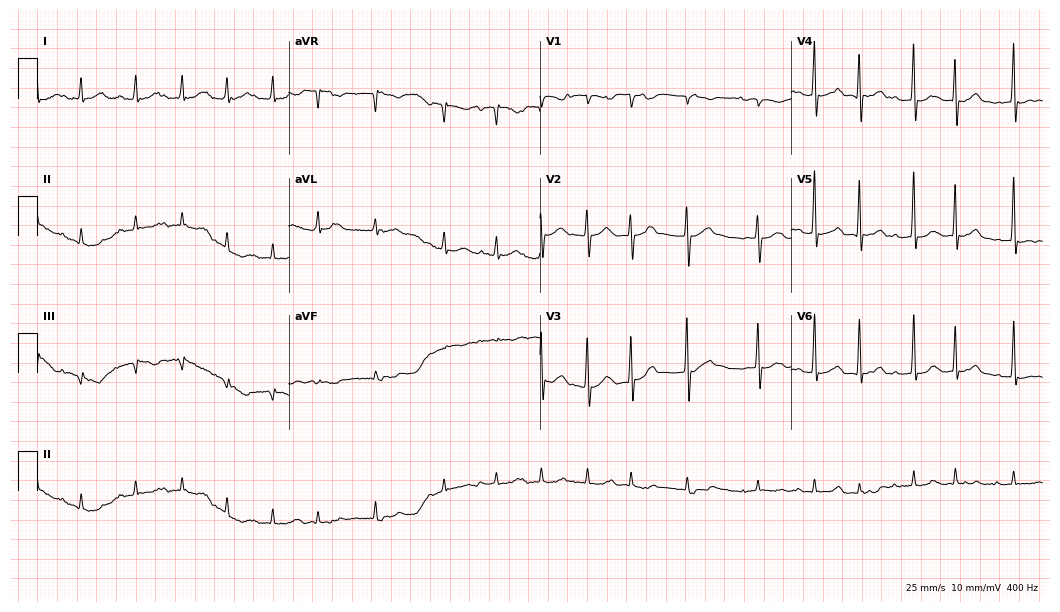
12-lead ECG from a woman, 90 years old or older (10.2-second recording at 400 Hz). No first-degree AV block, right bundle branch block (RBBB), left bundle branch block (LBBB), sinus bradycardia, atrial fibrillation (AF) or sinus tachycardia recorded for this tracing. Findings outside these six are not listed.